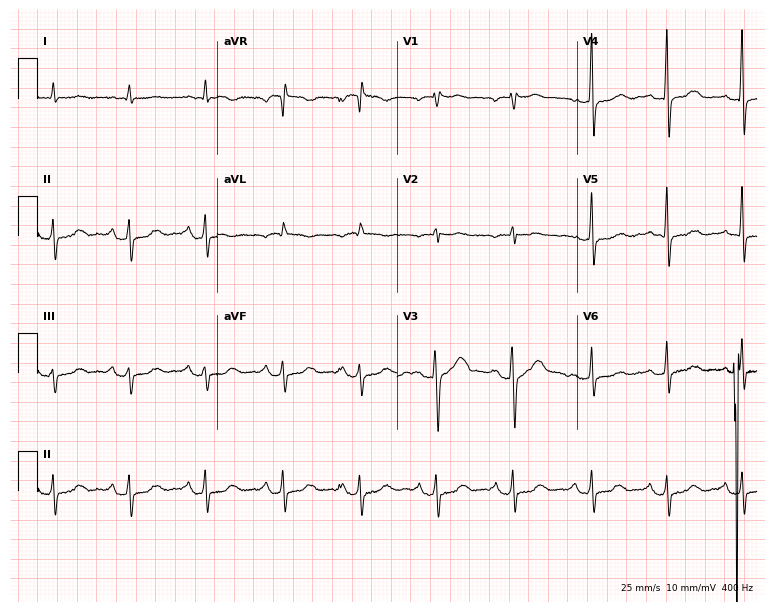
ECG — a 71-year-old female. Labelled as a normal ECG.